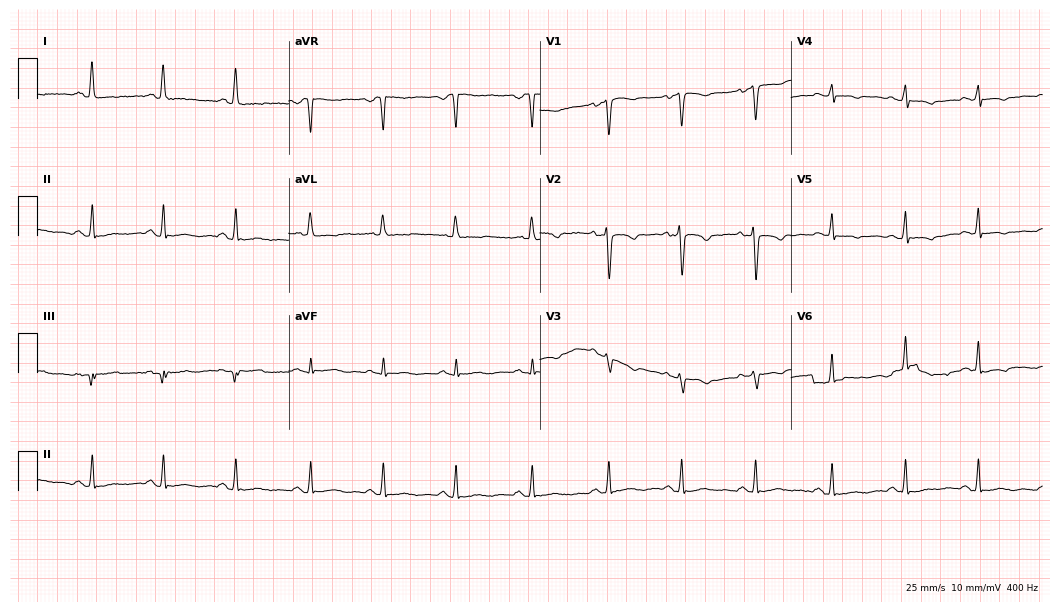
Electrocardiogram (10.2-second recording at 400 Hz), a female patient, 43 years old. Of the six screened findings (first-degree AV block, right bundle branch block, left bundle branch block, sinus bradycardia, atrial fibrillation, sinus tachycardia), none is recorded. Other findings, if any, are not listed.